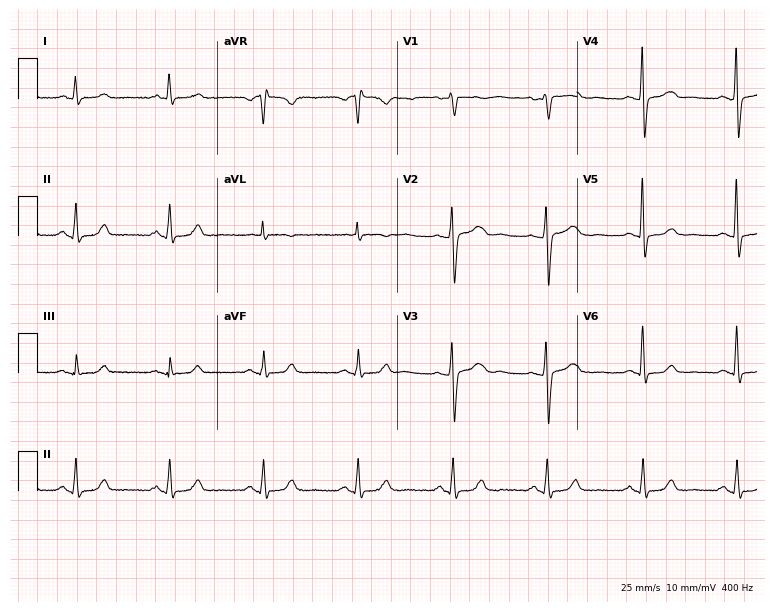
12-lead ECG (7.3-second recording at 400 Hz) from a man, 76 years old. Screened for six findings — first-degree AV block, right bundle branch block (RBBB), left bundle branch block (LBBB), sinus bradycardia, atrial fibrillation (AF), sinus tachycardia — none is recorded. Other findings, if any, are not listed.